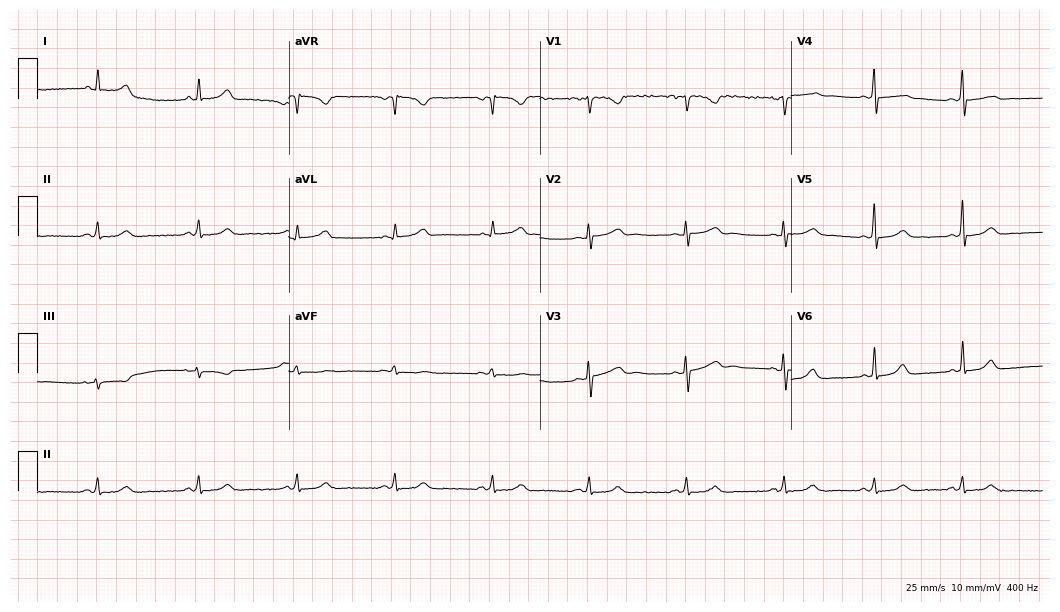
ECG — a 35-year-old female. Screened for six findings — first-degree AV block, right bundle branch block, left bundle branch block, sinus bradycardia, atrial fibrillation, sinus tachycardia — none is recorded.